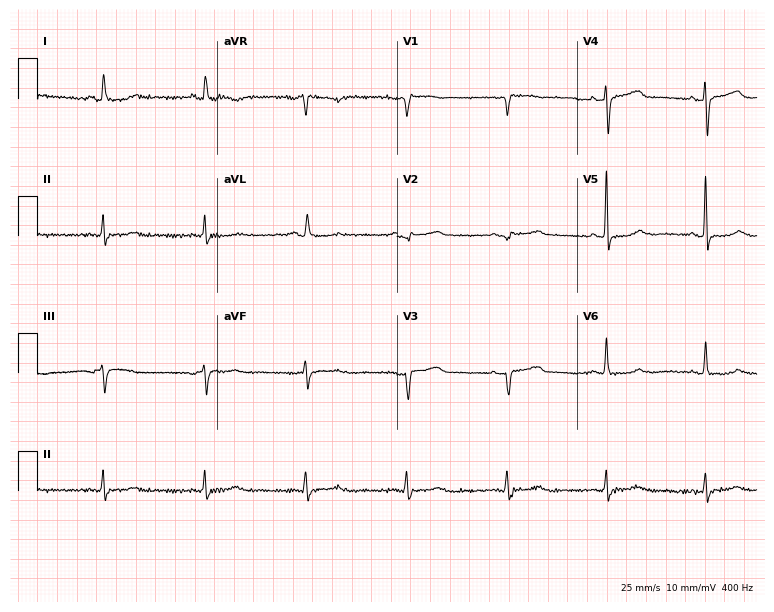
12-lead ECG from a female, 84 years old (7.3-second recording at 400 Hz). Recorded interpretation: within normal limits.